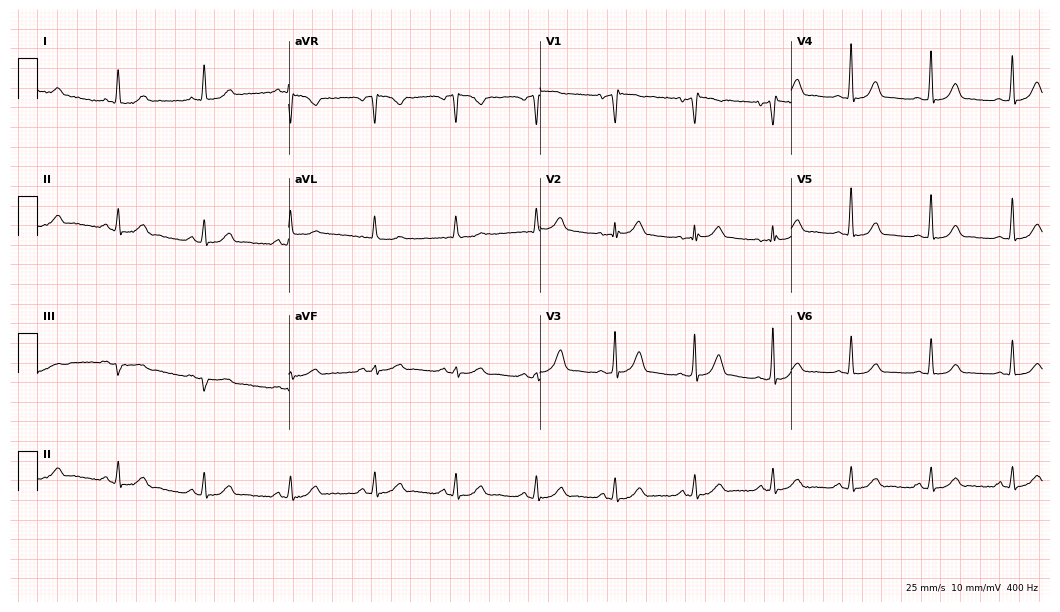
Electrocardiogram (10.2-second recording at 400 Hz), a man, 59 years old. Of the six screened findings (first-degree AV block, right bundle branch block, left bundle branch block, sinus bradycardia, atrial fibrillation, sinus tachycardia), none is recorded.